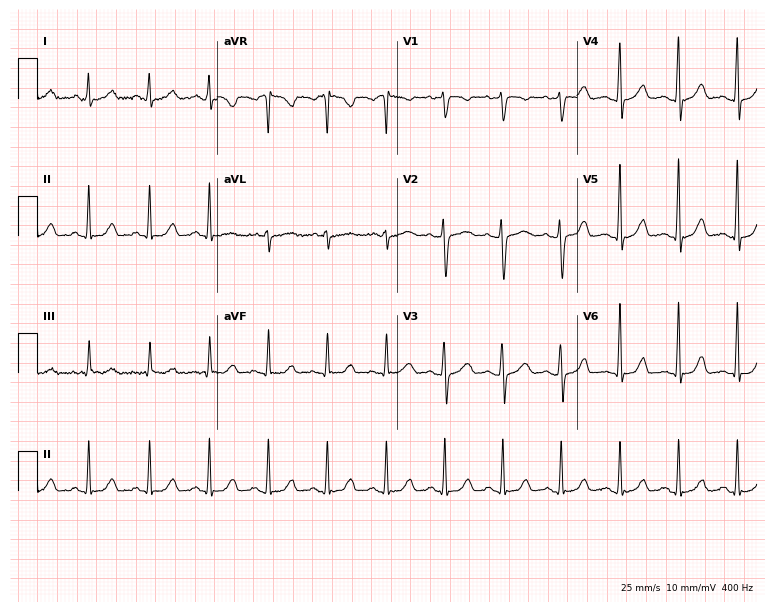
12-lead ECG from a female patient, 24 years old. Labelled as a normal ECG.